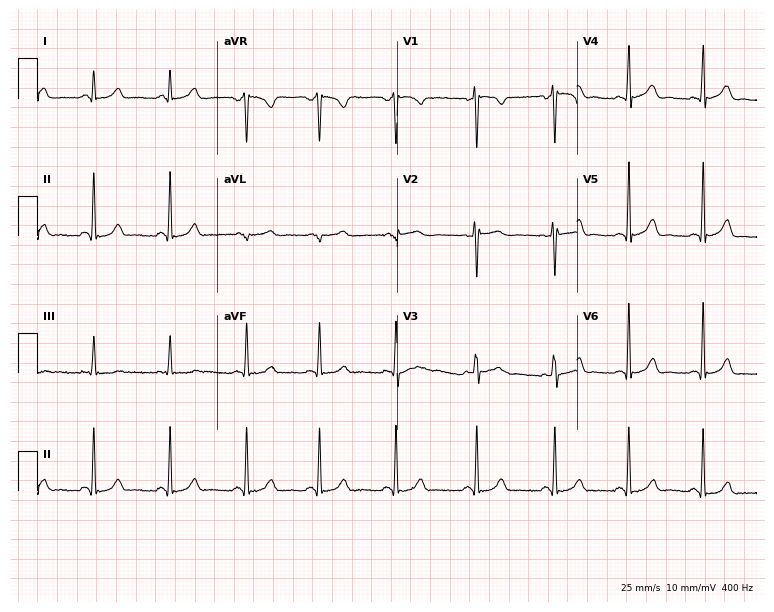
Electrocardiogram (7.3-second recording at 400 Hz), a 25-year-old female patient. Of the six screened findings (first-degree AV block, right bundle branch block (RBBB), left bundle branch block (LBBB), sinus bradycardia, atrial fibrillation (AF), sinus tachycardia), none is recorded.